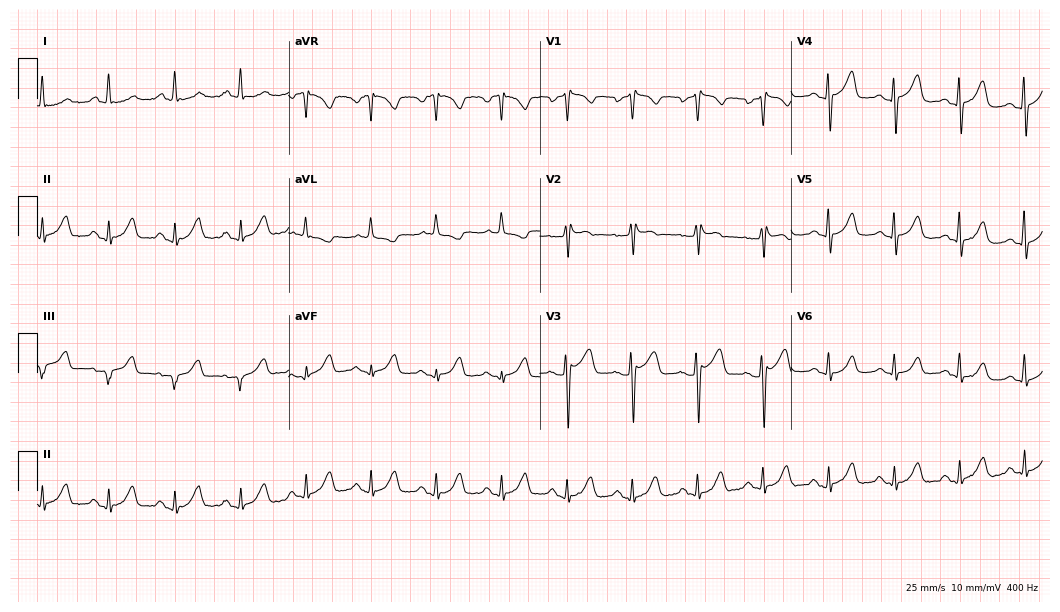
12-lead ECG (10.2-second recording at 400 Hz) from a female, 72 years old. Screened for six findings — first-degree AV block, right bundle branch block, left bundle branch block, sinus bradycardia, atrial fibrillation, sinus tachycardia — none is recorded.